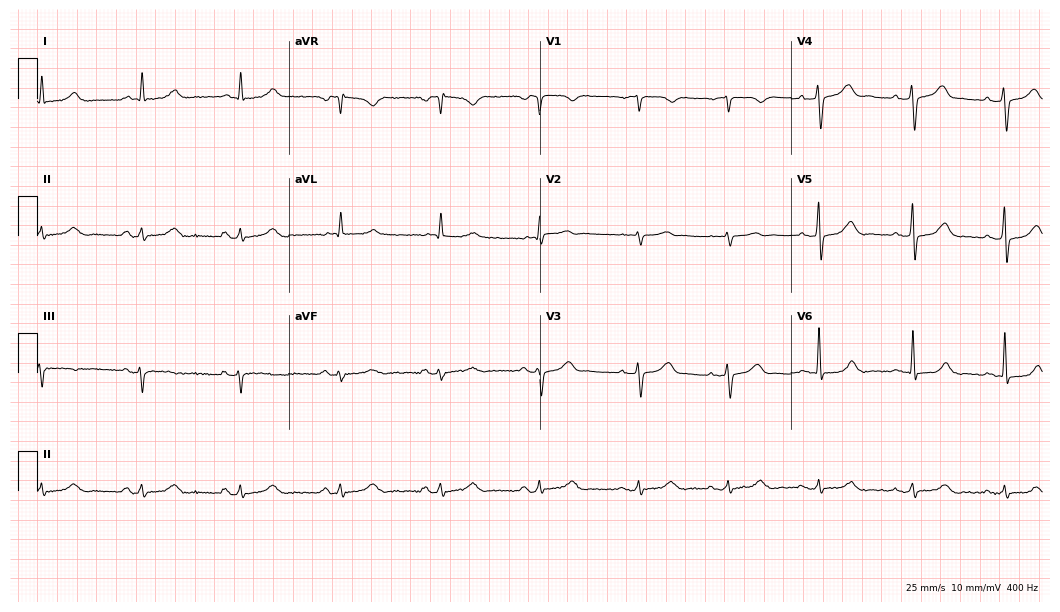
Resting 12-lead electrocardiogram (10.2-second recording at 400 Hz). Patient: a 71-year-old male. Read as a normal ECG.